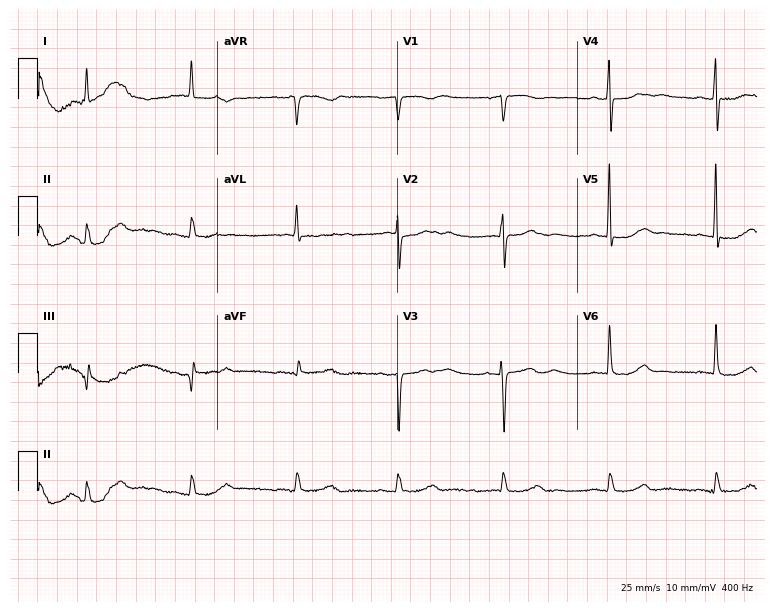
12-lead ECG (7.3-second recording at 400 Hz) from a 79-year-old female. Labelled as a normal ECG.